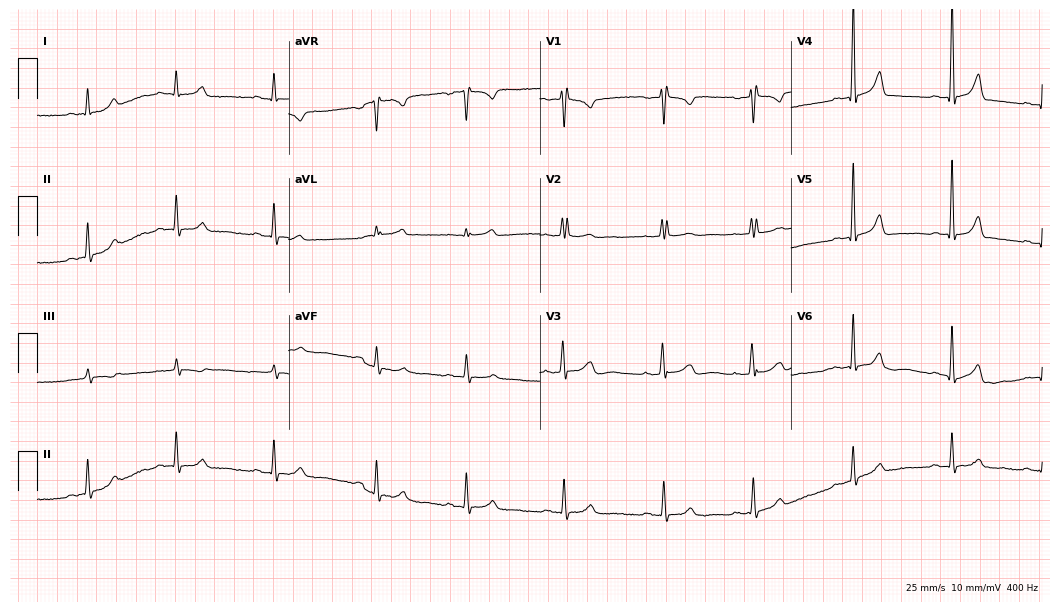
Electrocardiogram, a 28-year-old female. Of the six screened findings (first-degree AV block, right bundle branch block, left bundle branch block, sinus bradycardia, atrial fibrillation, sinus tachycardia), none is recorded. Only these six findings were labelled.